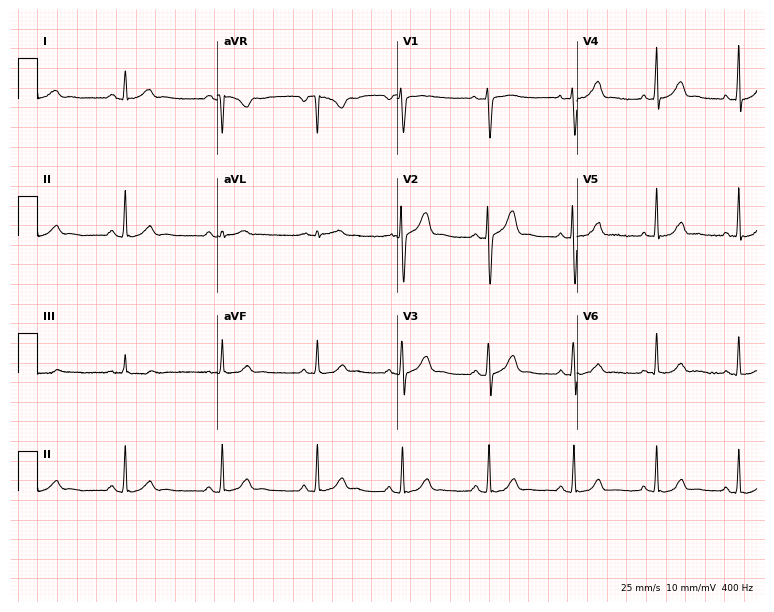
Electrocardiogram (7.3-second recording at 400 Hz), a 22-year-old female. Of the six screened findings (first-degree AV block, right bundle branch block, left bundle branch block, sinus bradycardia, atrial fibrillation, sinus tachycardia), none is recorded.